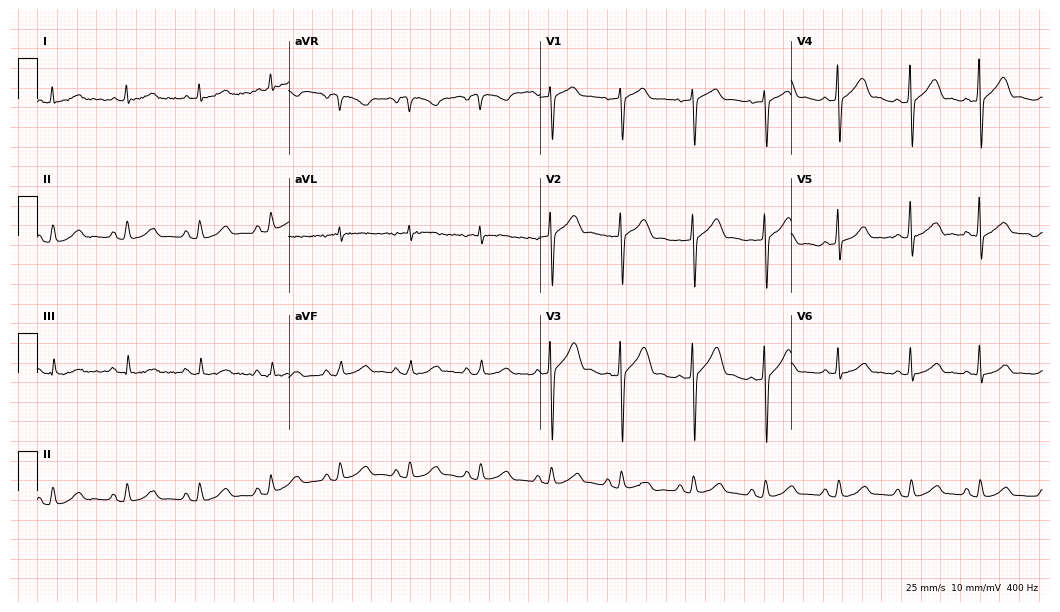
ECG — a 67-year-old male patient. Labelled as a normal ECG.